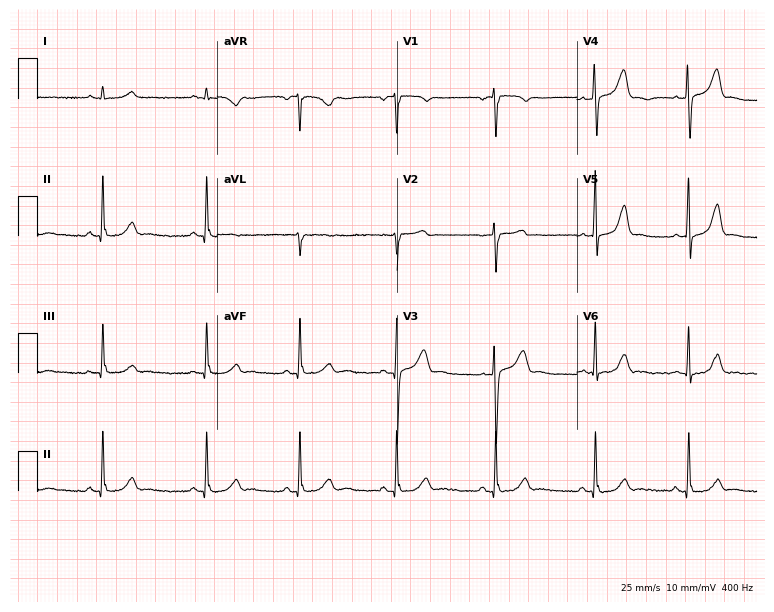
Resting 12-lead electrocardiogram. Patient: a female, 40 years old. Read as a normal ECG.